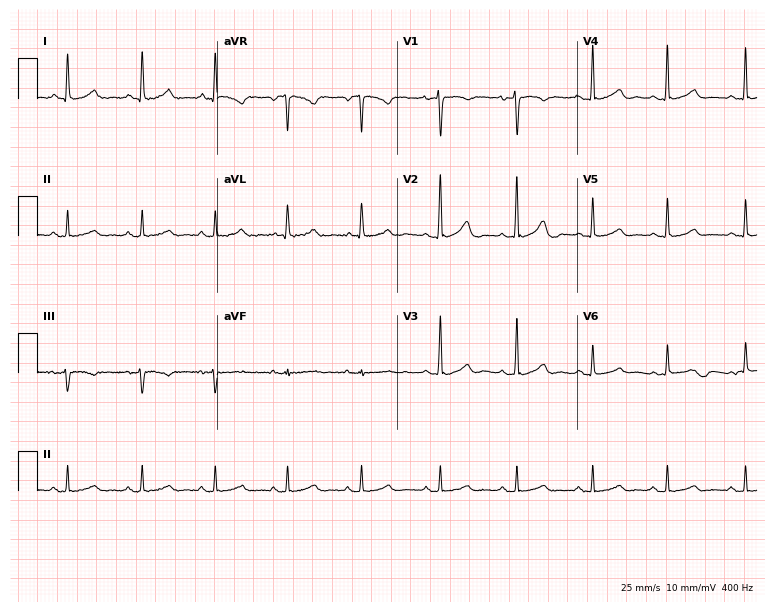
Resting 12-lead electrocardiogram. Patient: a female, 47 years old. Read as a normal ECG.